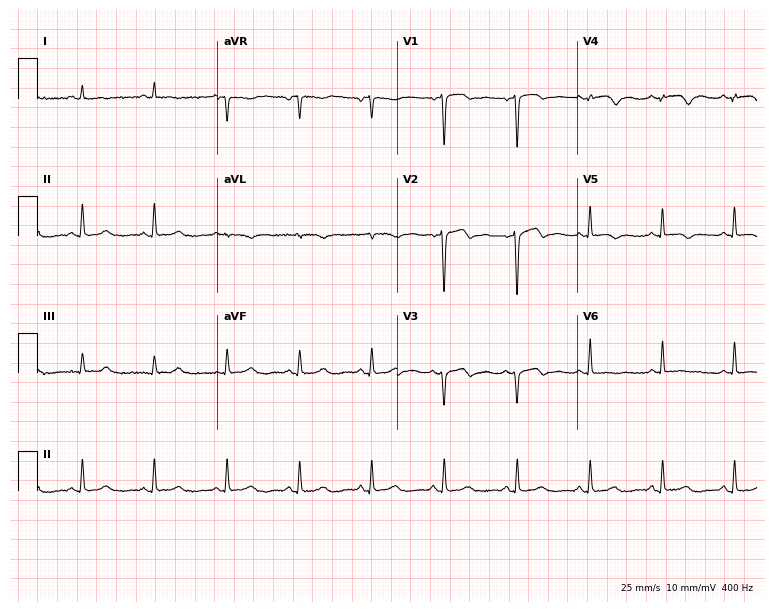
ECG — a woman, 76 years old. Screened for six findings — first-degree AV block, right bundle branch block, left bundle branch block, sinus bradycardia, atrial fibrillation, sinus tachycardia — none is recorded.